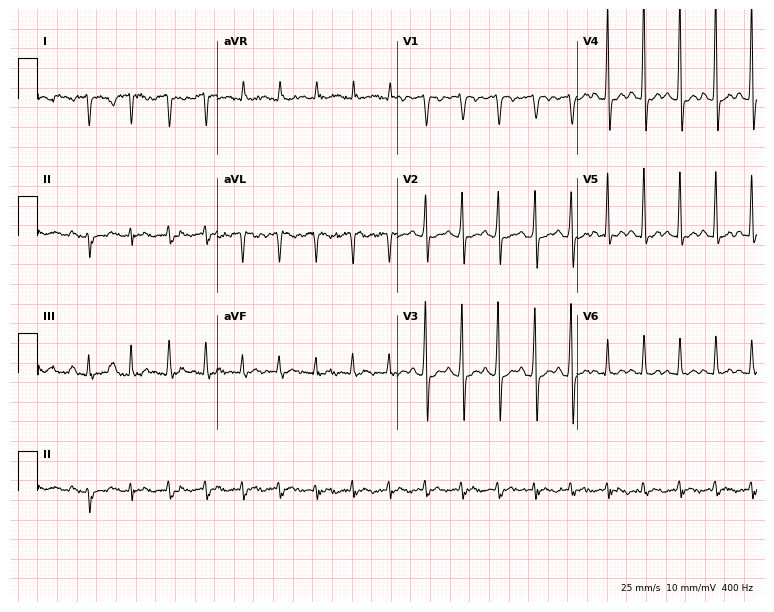
Electrocardiogram, a 77-year-old male patient. Of the six screened findings (first-degree AV block, right bundle branch block, left bundle branch block, sinus bradycardia, atrial fibrillation, sinus tachycardia), none is recorded.